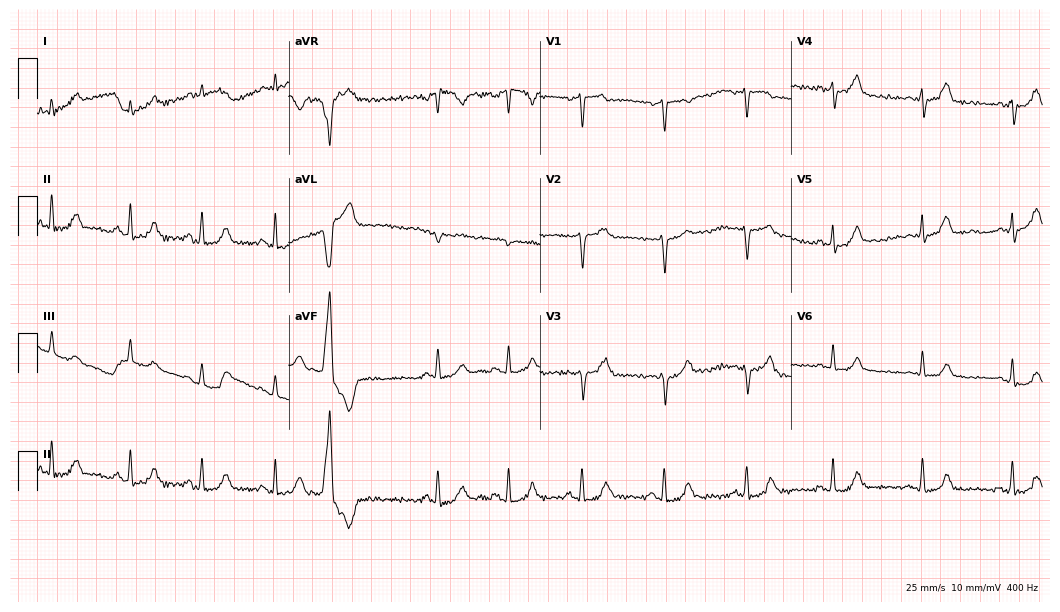
Electrocardiogram, a 59-year-old woman. Of the six screened findings (first-degree AV block, right bundle branch block, left bundle branch block, sinus bradycardia, atrial fibrillation, sinus tachycardia), none is recorded. Findings outside these six are not listed.